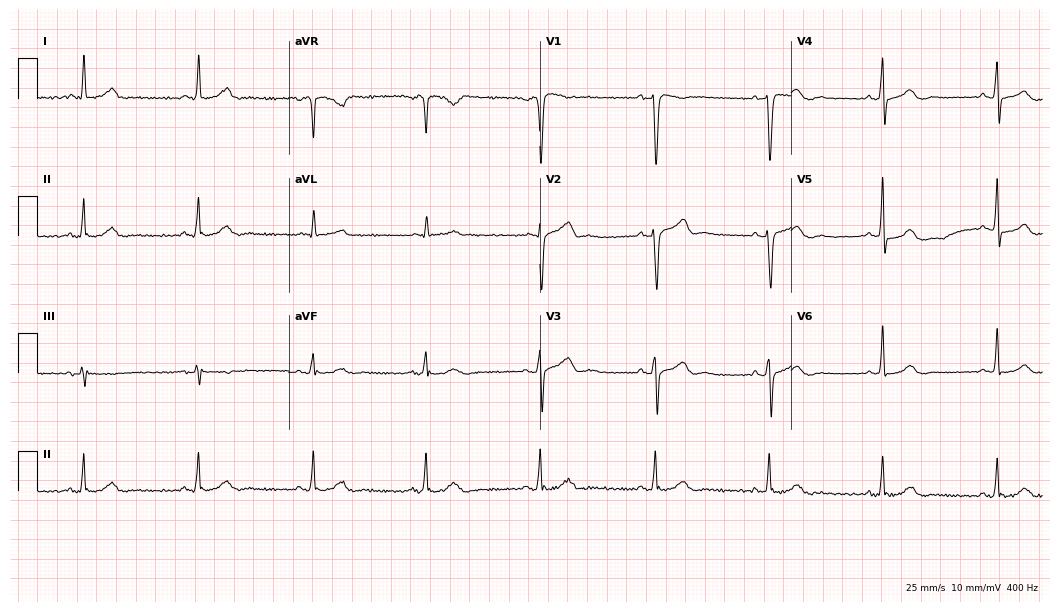
12-lead ECG from a 67-year-old man. Recorded interpretation: within normal limits.